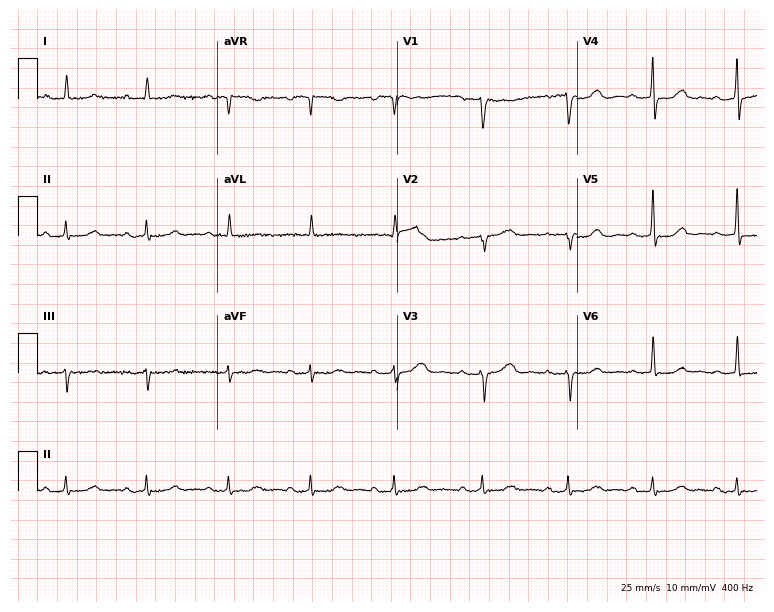
ECG (7.3-second recording at 400 Hz) — a female patient, 74 years old. Labelled as a normal ECG.